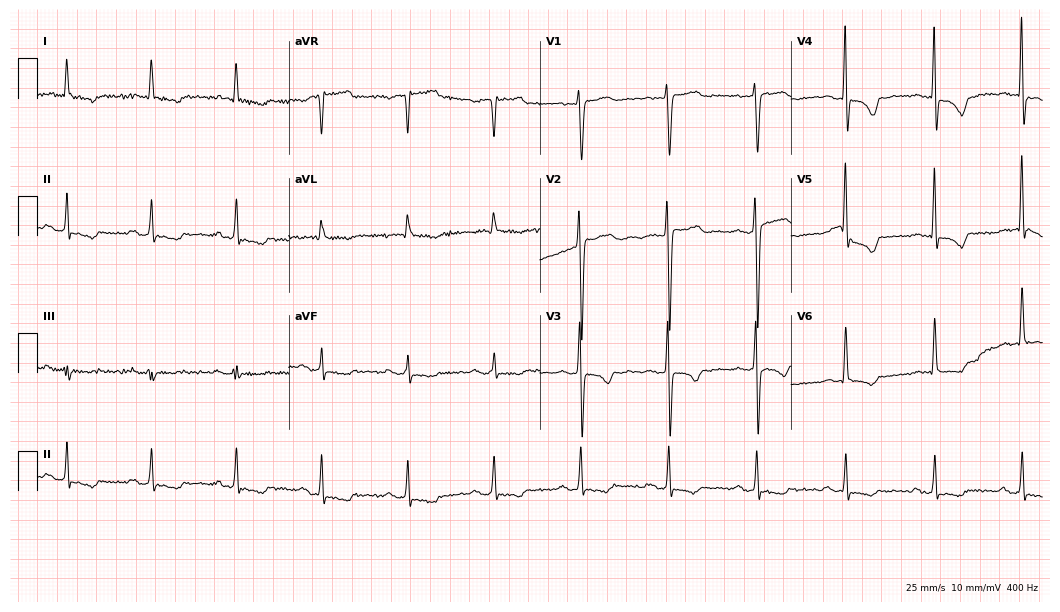
12-lead ECG from a female, 75 years old (10.2-second recording at 400 Hz). No first-degree AV block, right bundle branch block, left bundle branch block, sinus bradycardia, atrial fibrillation or sinus tachycardia recorded for this tracing. Other findings, if any, are not listed.